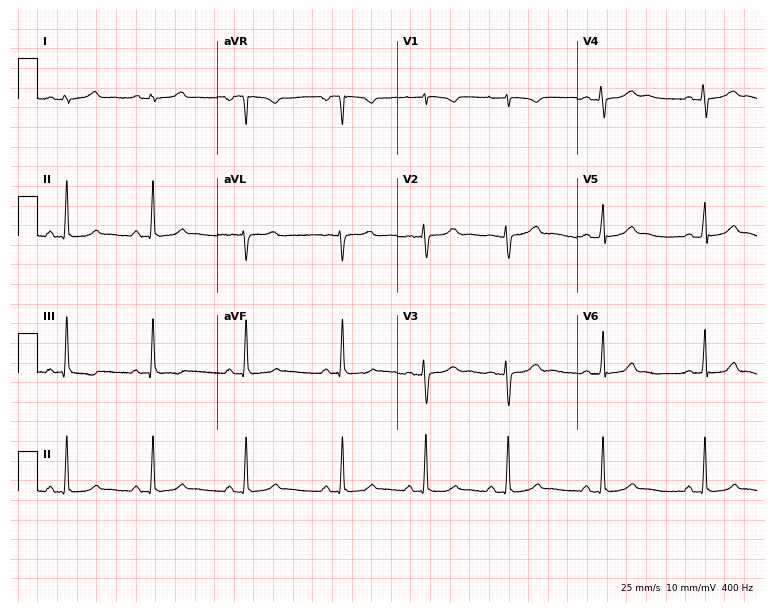
ECG (7.3-second recording at 400 Hz) — a 19-year-old female patient. Screened for six findings — first-degree AV block, right bundle branch block, left bundle branch block, sinus bradycardia, atrial fibrillation, sinus tachycardia — none is recorded. Findings outside these six are not listed.